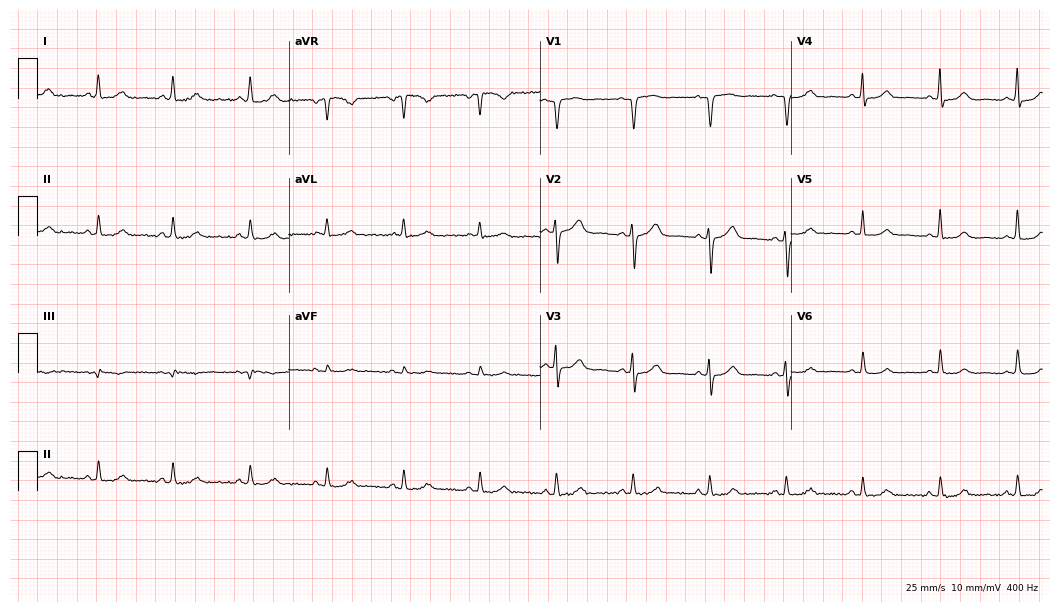
Standard 12-lead ECG recorded from a woman, 57 years old. None of these six findings is recorded: first-degree AV block, right bundle branch block, left bundle branch block, sinus bradycardia, atrial fibrillation, sinus tachycardia. Findings outside these six are not listed.